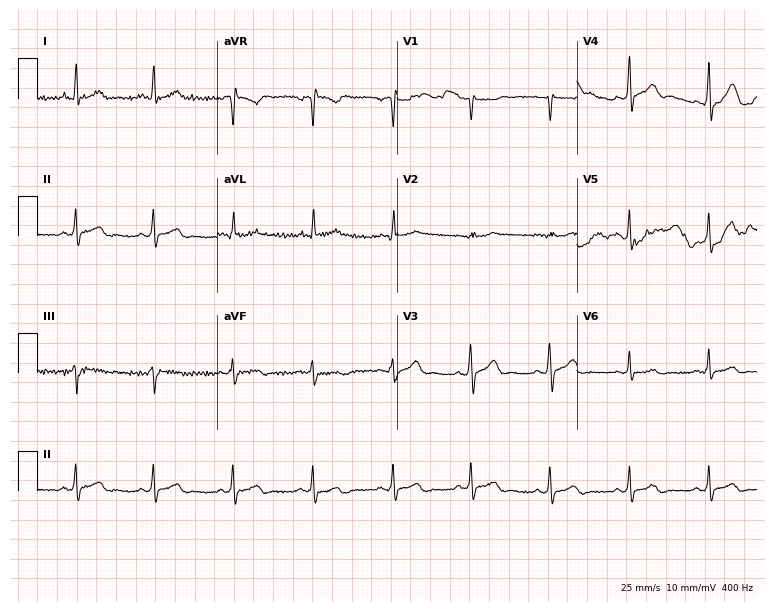
Electrocardiogram (7.3-second recording at 400 Hz), a 43-year-old man. Overall reading on record: normal ECG.